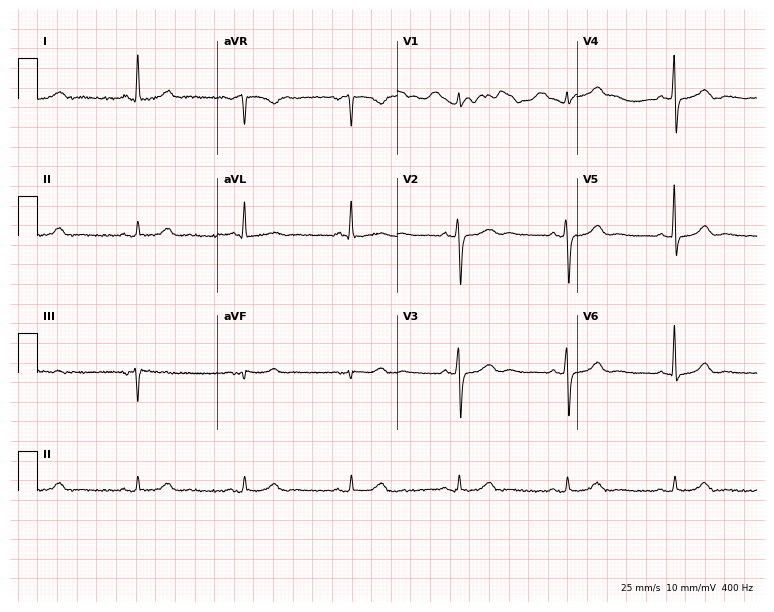
12-lead ECG (7.3-second recording at 400 Hz) from a woman, 69 years old. Labelled as a normal ECG.